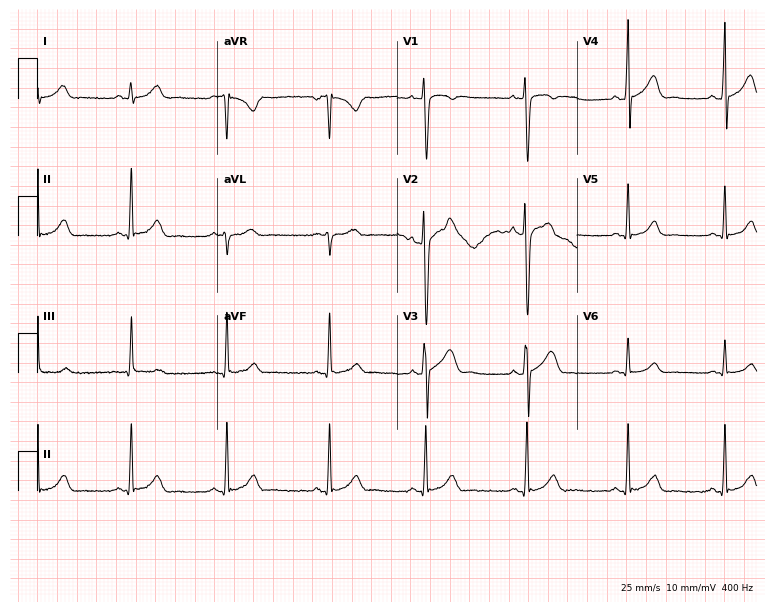
Resting 12-lead electrocardiogram. Patient: a 30-year-old man. Read as a normal ECG.